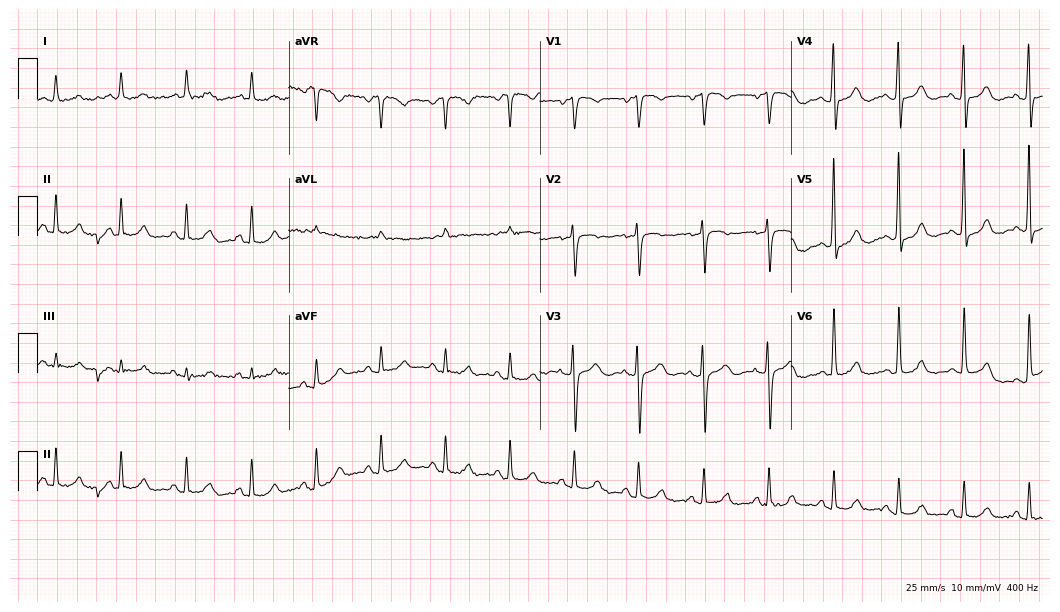
Standard 12-lead ECG recorded from a male patient, 78 years old (10.2-second recording at 400 Hz). None of these six findings is recorded: first-degree AV block, right bundle branch block (RBBB), left bundle branch block (LBBB), sinus bradycardia, atrial fibrillation (AF), sinus tachycardia. Findings outside these six are not listed.